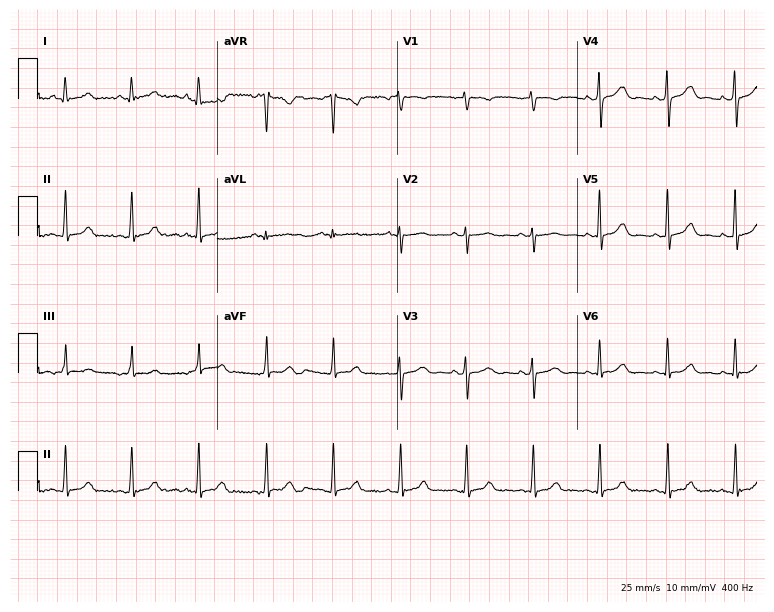
12-lead ECG from a female patient, 21 years old. Screened for six findings — first-degree AV block, right bundle branch block, left bundle branch block, sinus bradycardia, atrial fibrillation, sinus tachycardia — none is recorded. Findings outside these six are not listed.